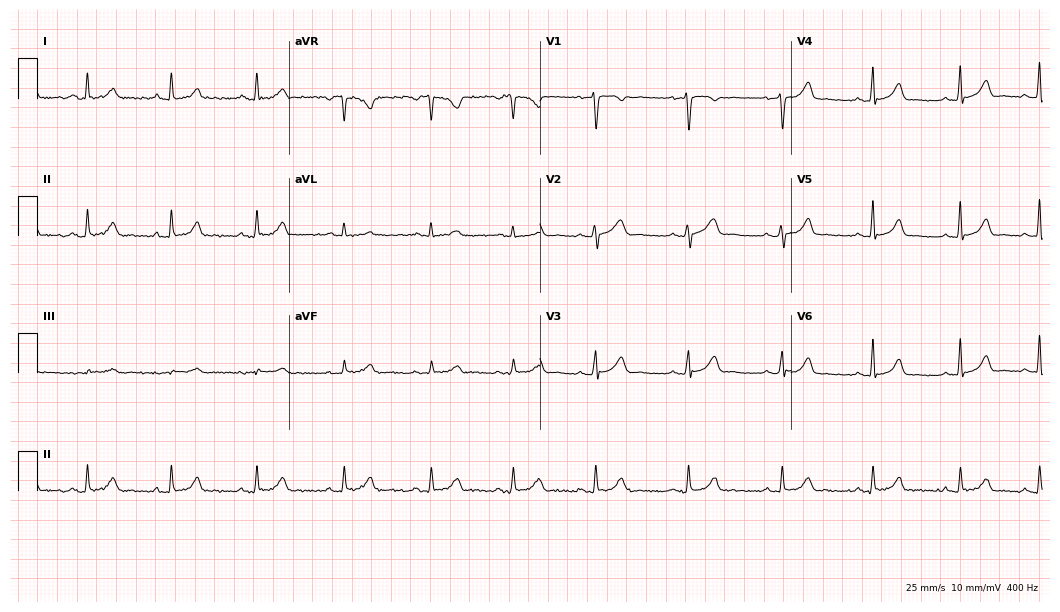
12-lead ECG from a female, 42 years old (10.2-second recording at 400 Hz). Recorded interpretation: within normal limits.